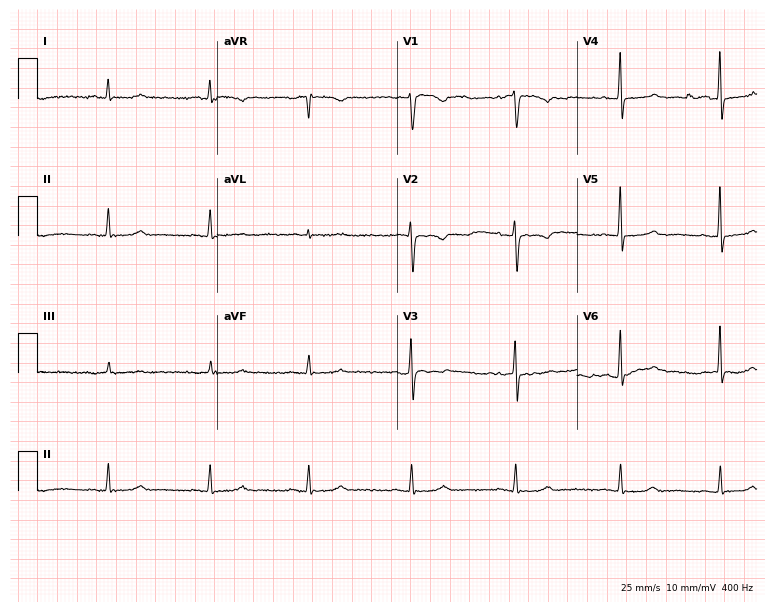
12-lead ECG from a 54-year-old female patient (7.3-second recording at 400 Hz). No first-degree AV block, right bundle branch block, left bundle branch block, sinus bradycardia, atrial fibrillation or sinus tachycardia recorded for this tracing.